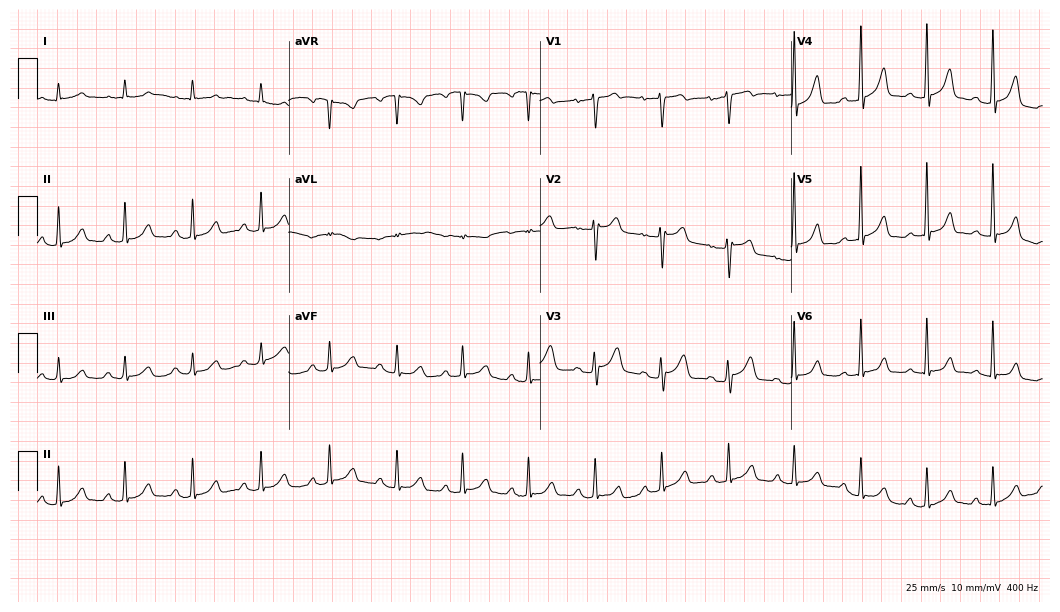
12-lead ECG from a female, 58 years old. Labelled as a normal ECG.